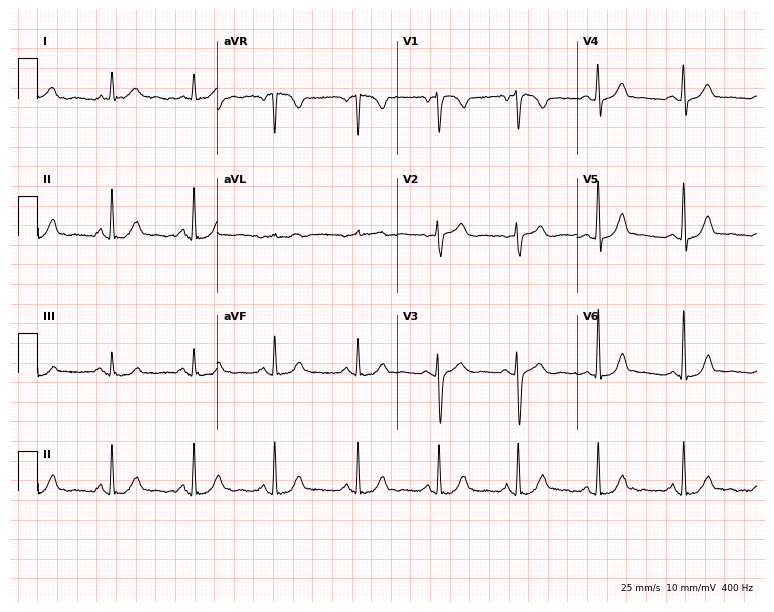
Electrocardiogram (7.3-second recording at 400 Hz), a 48-year-old female. Overall reading on record: normal ECG.